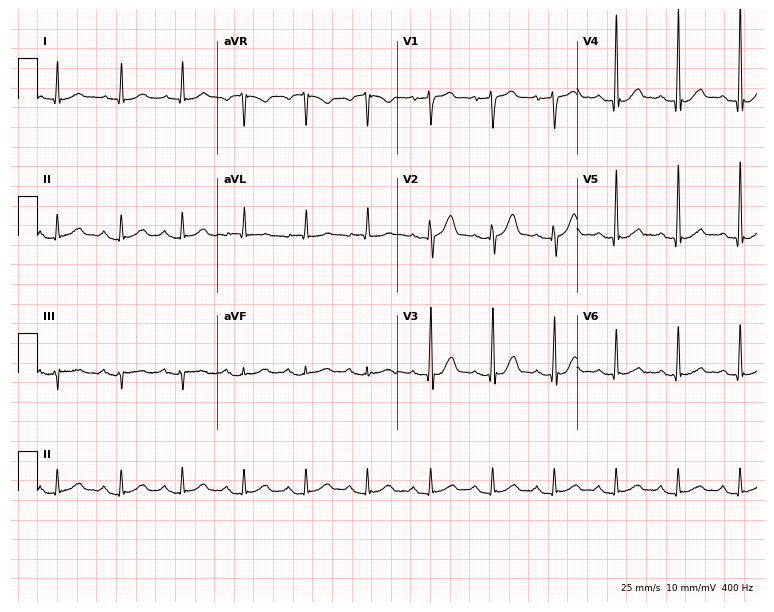
Resting 12-lead electrocardiogram (7.3-second recording at 400 Hz). Patient: a 65-year-old male. None of these six findings is recorded: first-degree AV block, right bundle branch block, left bundle branch block, sinus bradycardia, atrial fibrillation, sinus tachycardia. Only these six findings were labelled.